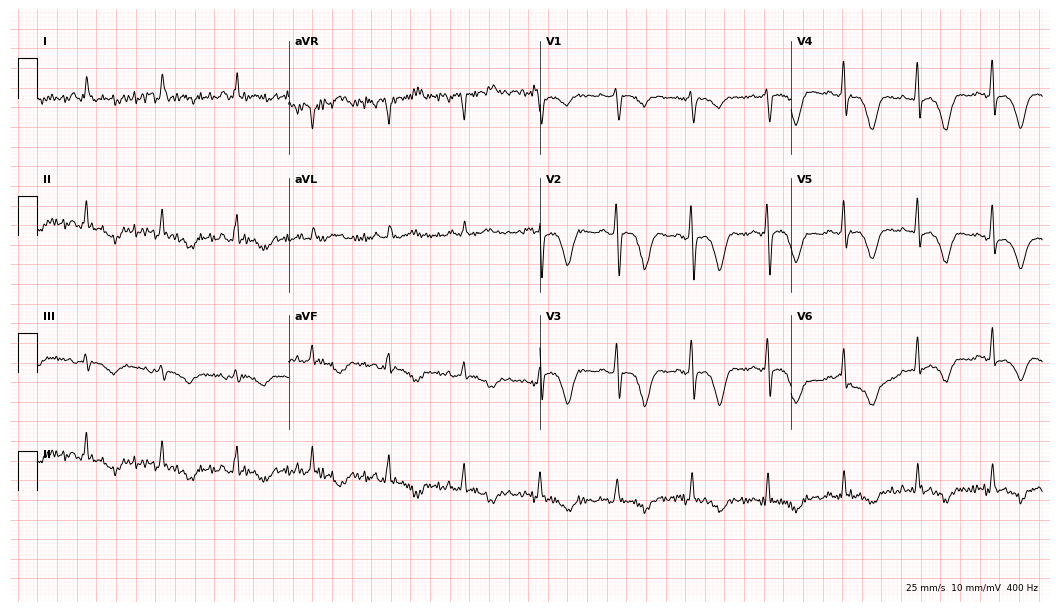
Resting 12-lead electrocardiogram (10.2-second recording at 400 Hz). Patient: a 63-year-old female. None of these six findings is recorded: first-degree AV block, right bundle branch block, left bundle branch block, sinus bradycardia, atrial fibrillation, sinus tachycardia. Findings outside these six are not listed.